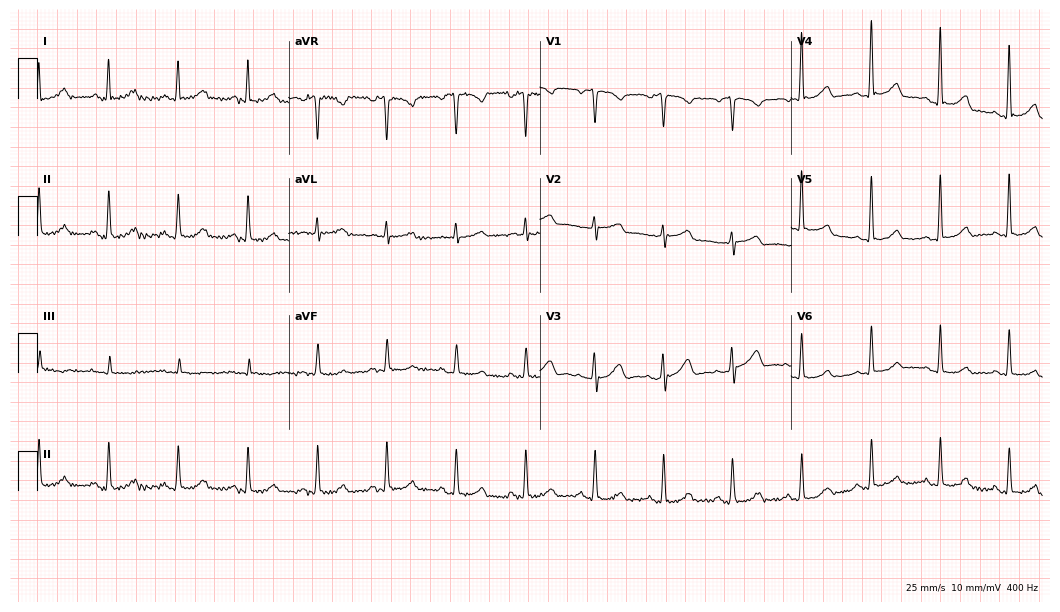
12-lead ECG from a 61-year-old female patient. Labelled as a normal ECG.